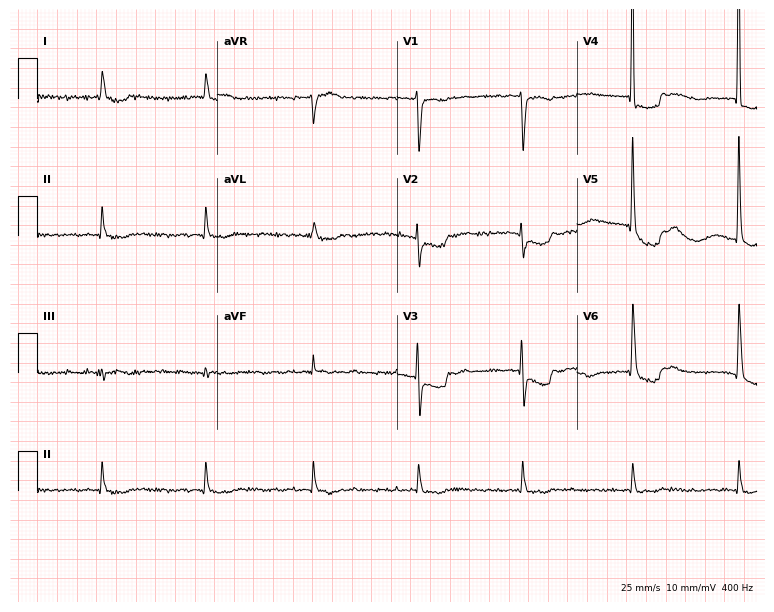
Resting 12-lead electrocardiogram. Patient: an 85-year-old woman. None of these six findings is recorded: first-degree AV block, right bundle branch block, left bundle branch block, sinus bradycardia, atrial fibrillation, sinus tachycardia.